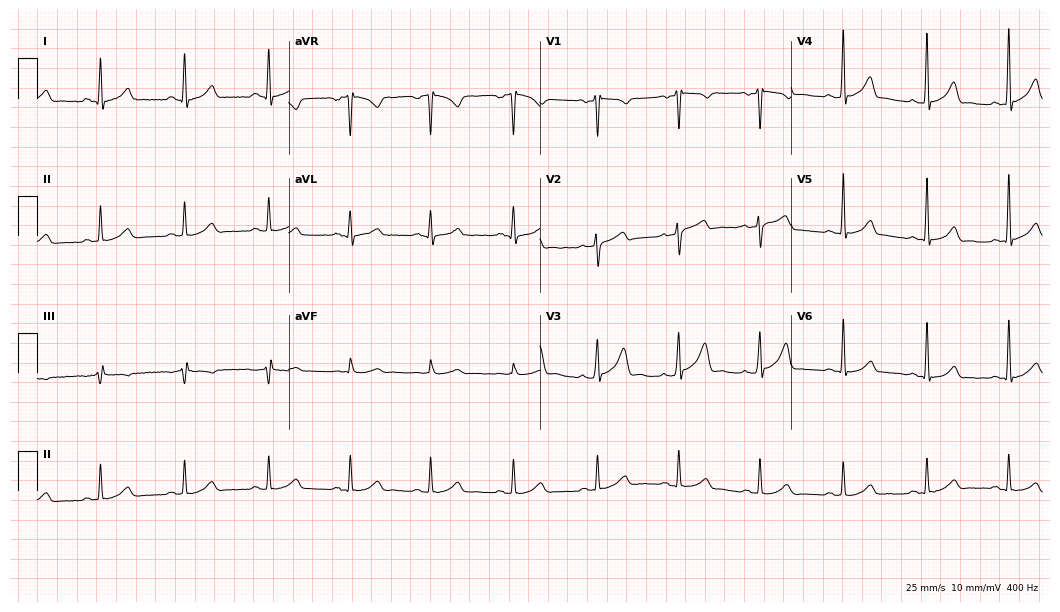
12-lead ECG from a 34-year-old male (10.2-second recording at 400 Hz). Recorded interpretation: within normal limits.